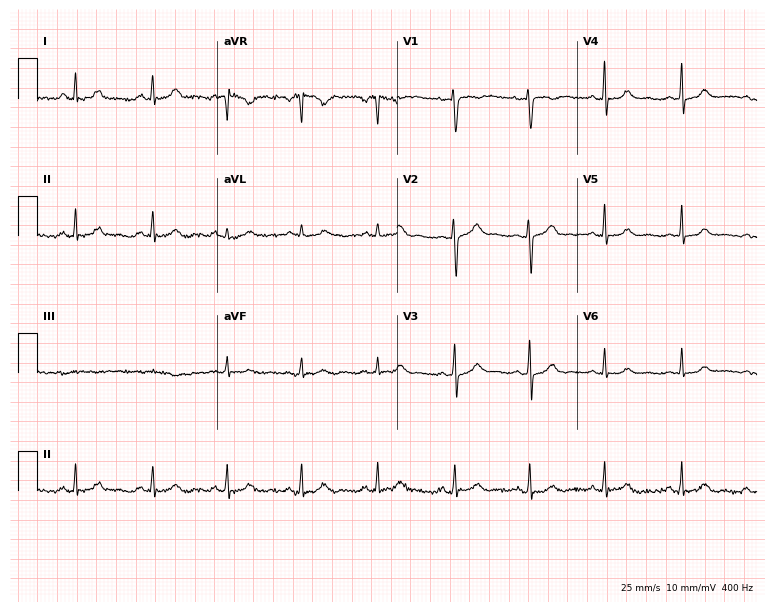
12-lead ECG from a female patient, 30 years old. Recorded interpretation: within normal limits.